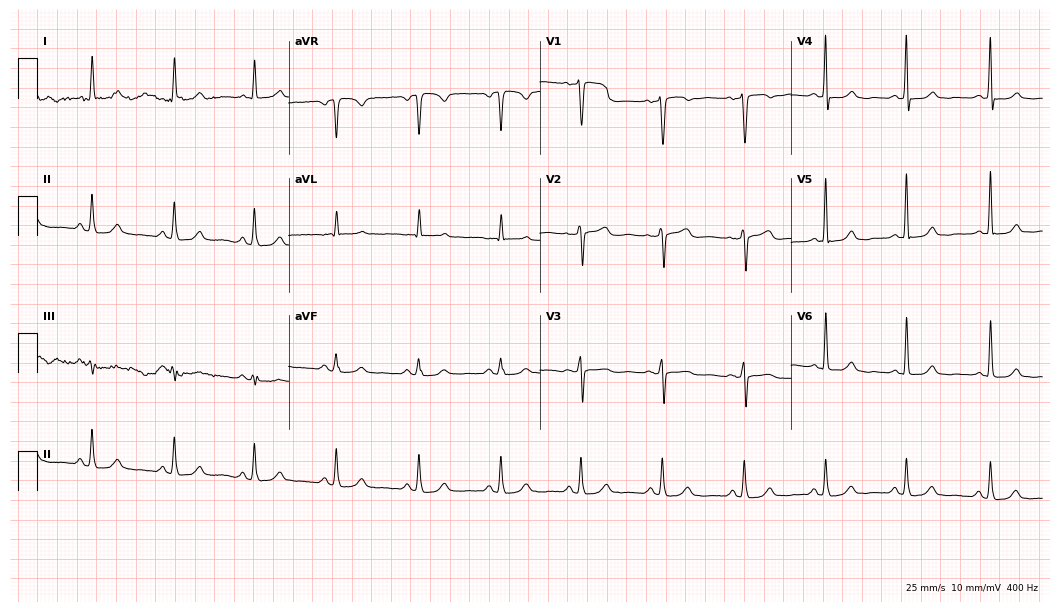
Standard 12-lead ECG recorded from a female patient, 64 years old (10.2-second recording at 400 Hz). Read as a normal ECG.